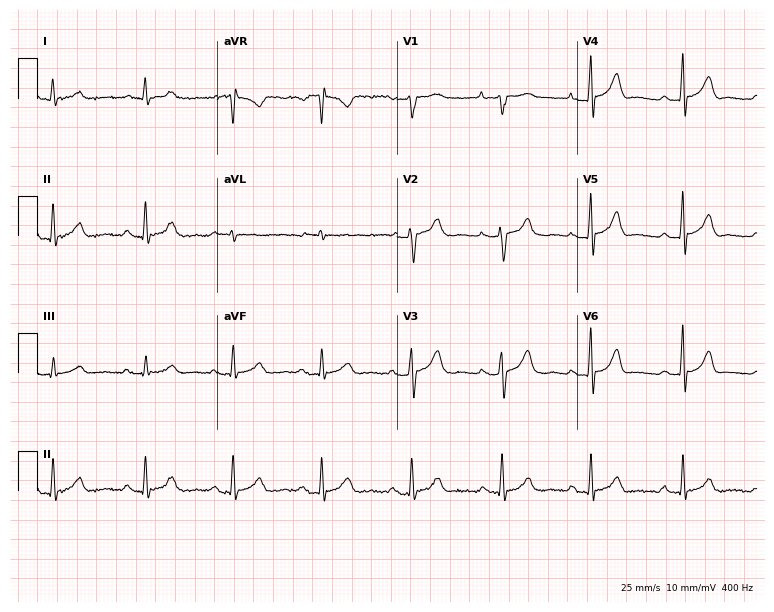
12-lead ECG from an 80-year-old man. Labelled as a normal ECG.